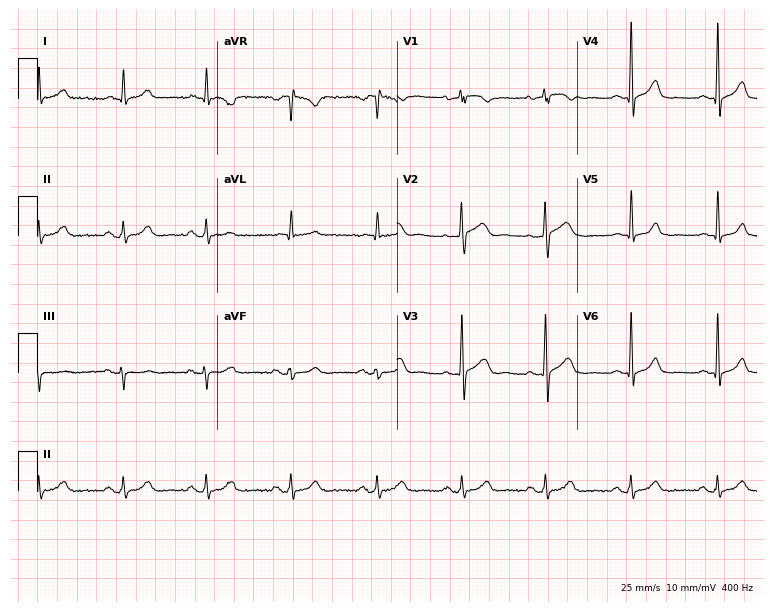
Standard 12-lead ECG recorded from a male patient, 65 years old. Read as a normal ECG.